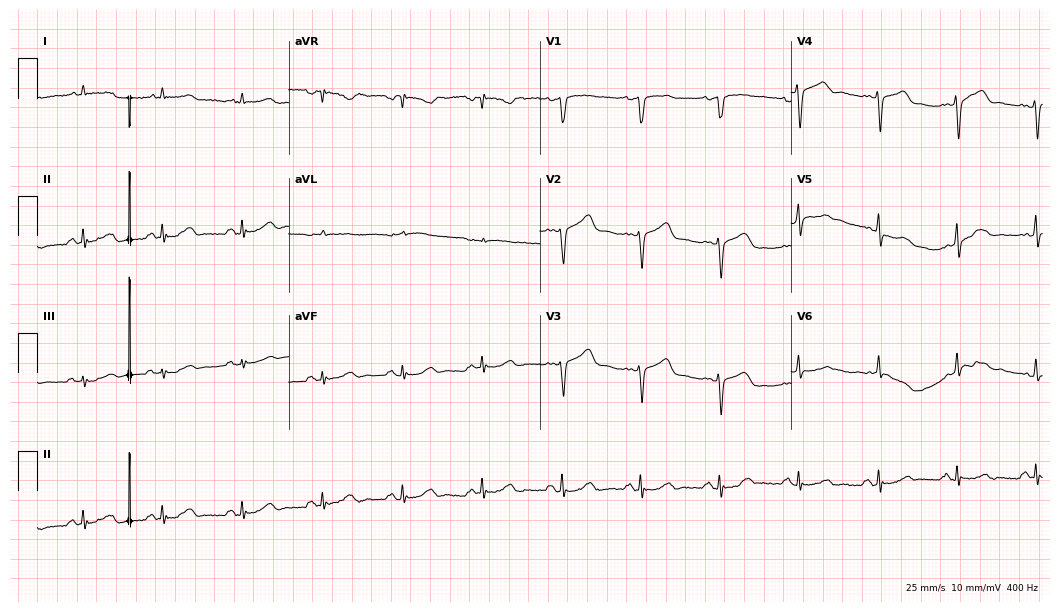
12-lead ECG from a 78-year-old male patient (10.2-second recording at 400 Hz). No first-degree AV block, right bundle branch block (RBBB), left bundle branch block (LBBB), sinus bradycardia, atrial fibrillation (AF) or sinus tachycardia recorded for this tracing.